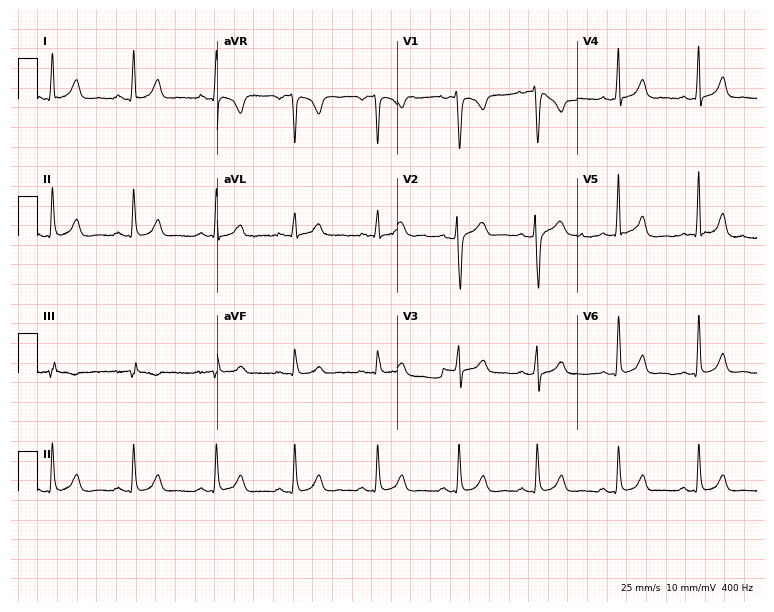
Resting 12-lead electrocardiogram (7.3-second recording at 400 Hz). Patient: a 32-year-old male. None of these six findings is recorded: first-degree AV block, right bundle branch block, left bundle branch block, sinus bradycardia, atrial fibrillation, sinus tachycardia.